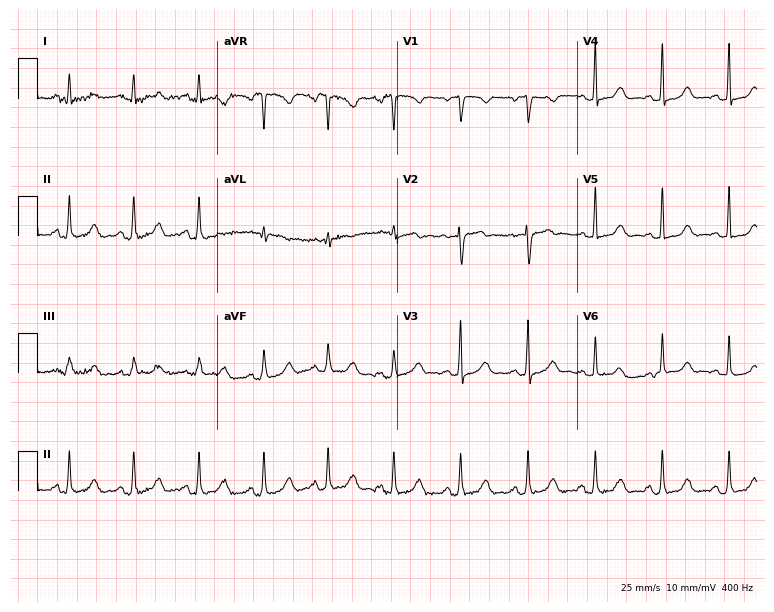
12-lead ECG from a 34-year-old woman. Screened for six findings — first-degree AV block, right bundle branch block, left bundle branch block, sinus bradycardia, atrial fibrillation, sinus tachycardia — none is recorded.